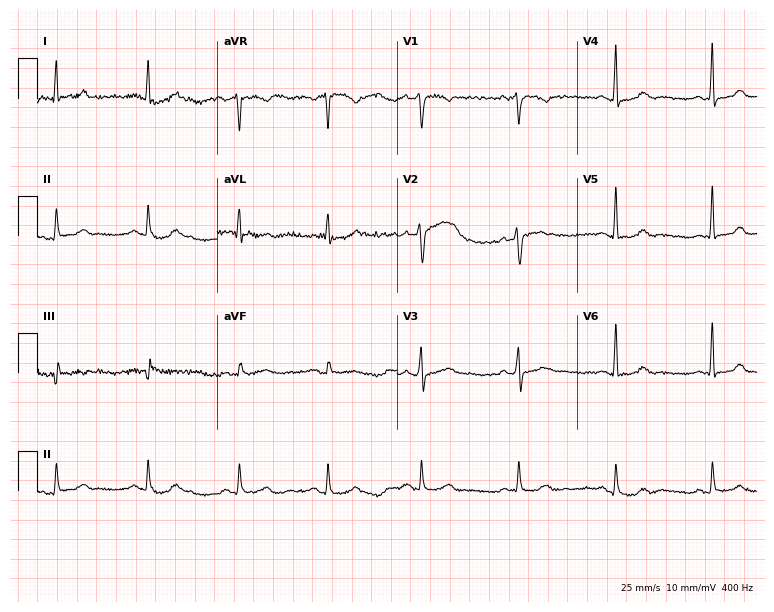
ECG (7.3-second recording at 400 Hz) — a female, 44 years old. Labelled as a normal ECG.